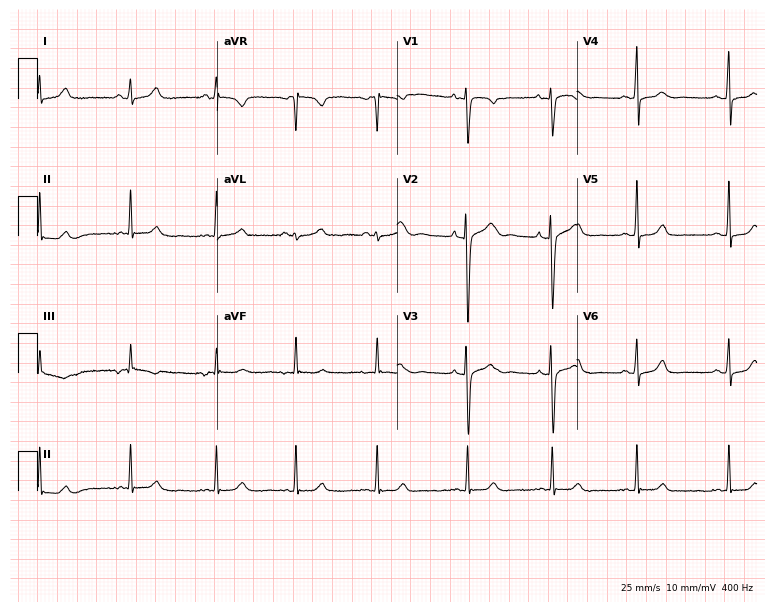
ECG — a 17-year-old female. Screened for six findings — first-degree AV block, right bundle branch block (RBBB), left bundle branch block (LBBB), sinus bradycardia, atrial fibrillation (AF), sinus tachycardia — none is recorded.